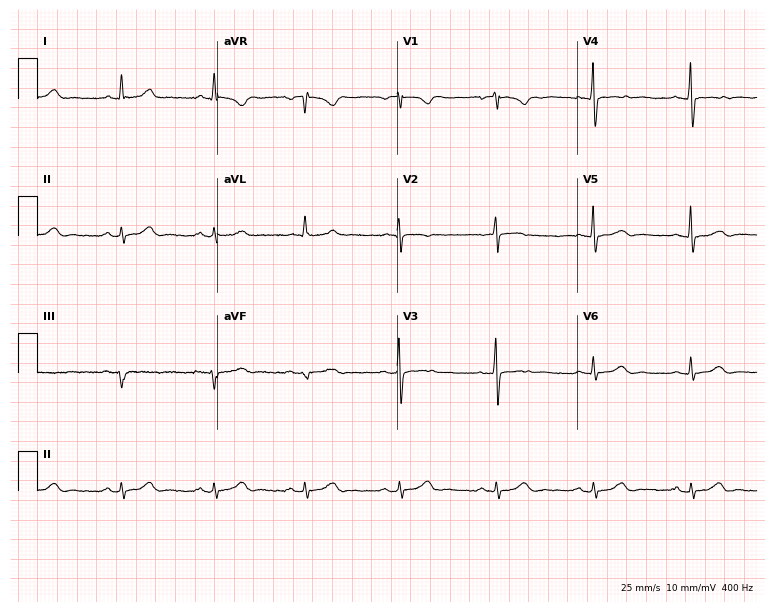
12-lead ECG from a female patient, 68 years old. Recorded interpretation: within normal limits.